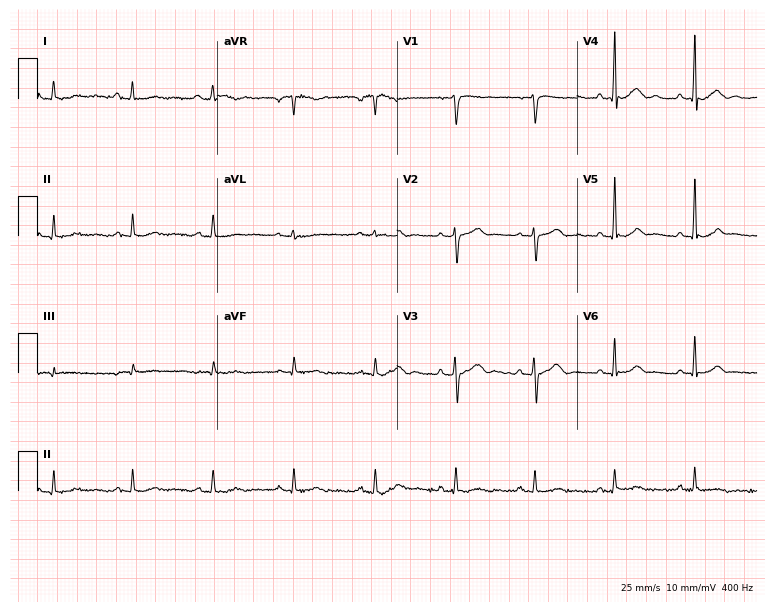
12-lead ECG from a male patient, 74 years old. Labelled as a normal ECG.